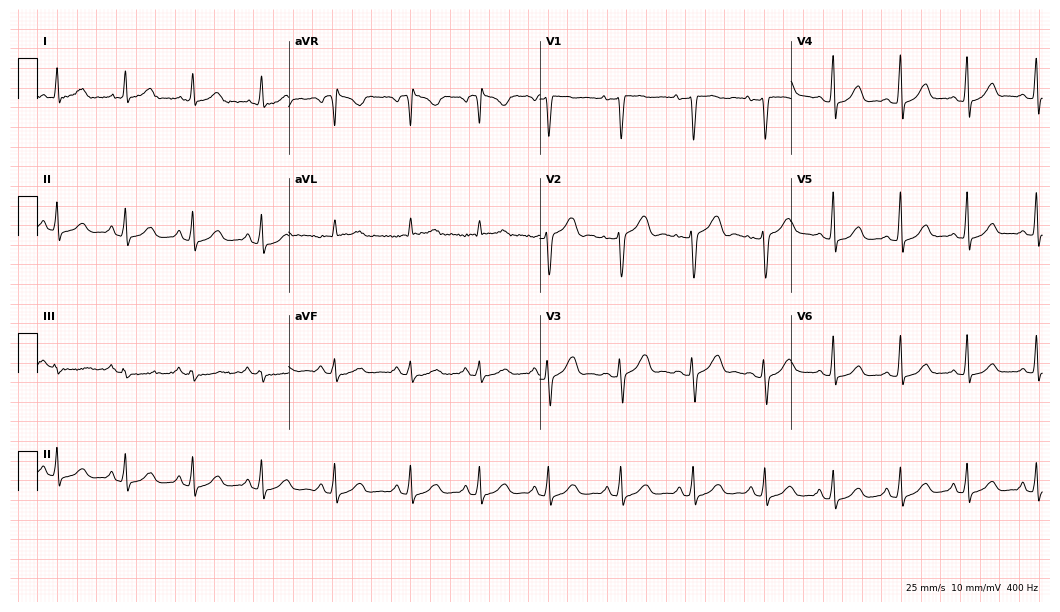
Resting 12-lead electrocardiogram (10.2-second recording at 400 Hz). Patient: a woman, 36 years old. Read as a normal ECG.